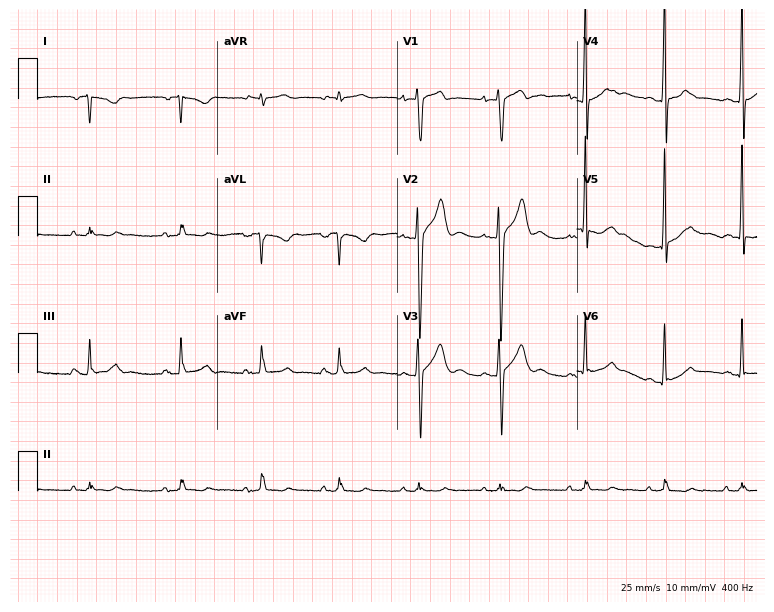
Electrocardiogram, a 20-year-old man. Of the six screened findings (first-degree AV block, right bundle branch block, left bundle branch block, sinus bradycardia, atrial fibrillation, sinus tachycardia), none is recorded.